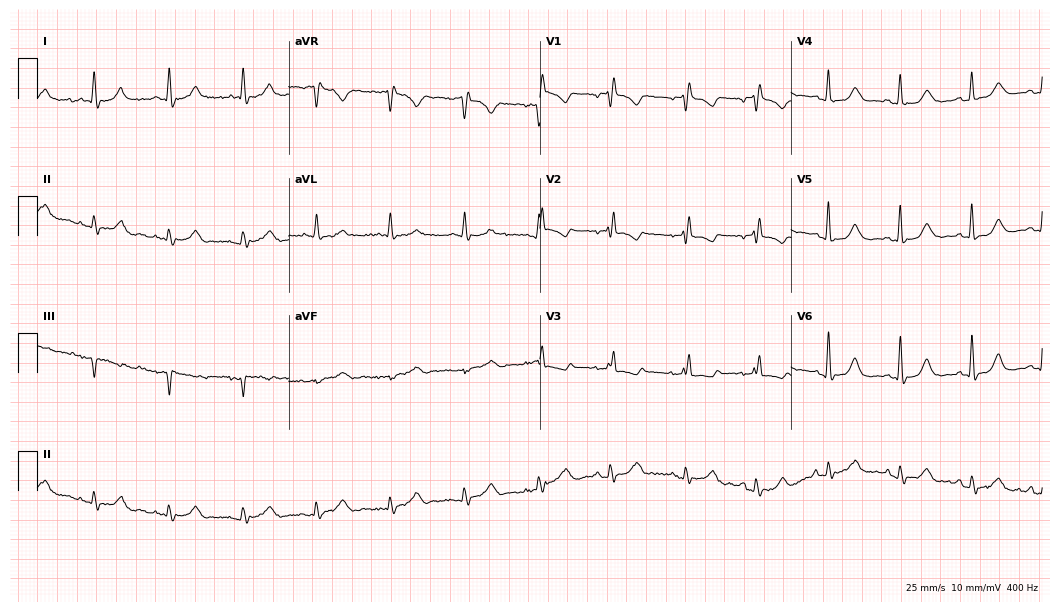
12-lead ECG from an 81-year-old female patient. No first-degree AV block, right bundle branch block, left bundle branch block, sinus bradycardia, atrial fibrillation or sinus tachycardia recorded for this tracing.